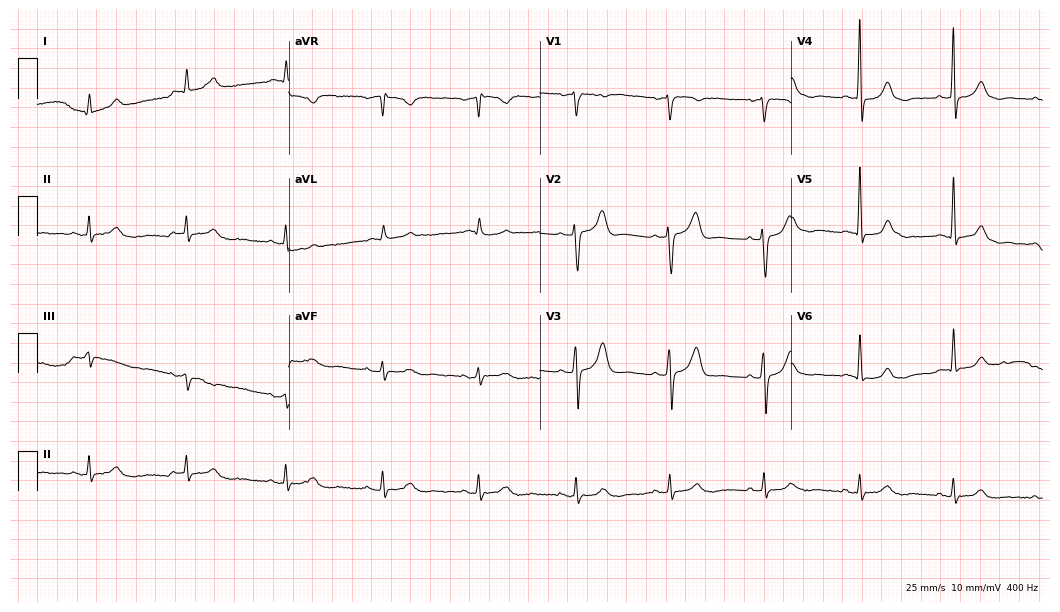
12-lead ECG (10.2-second recording at 400 Hz) from a male, 79 years old. Labelled as a normal ECG.